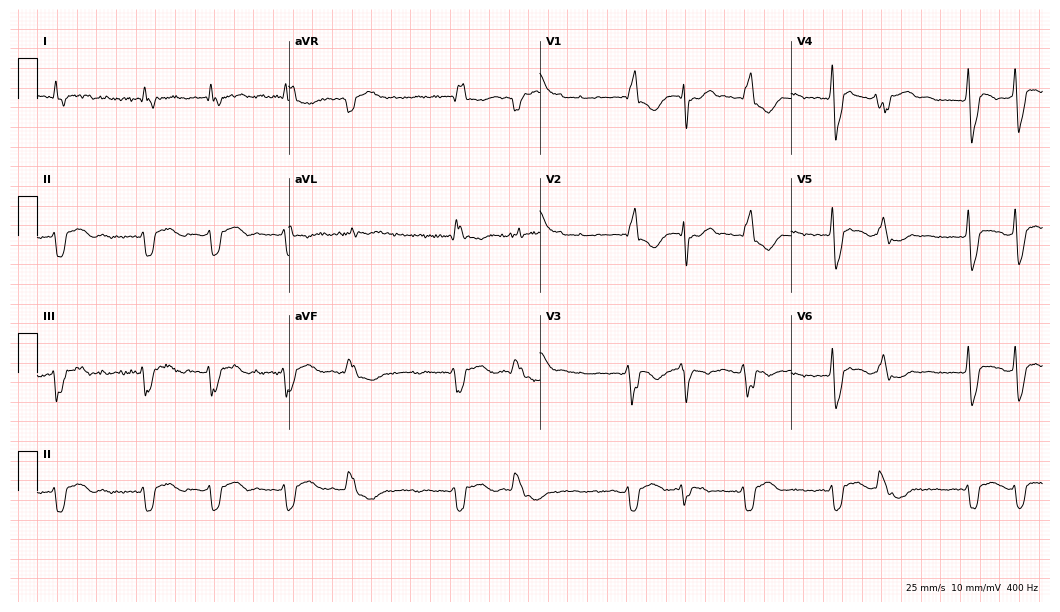
Electrocardiogram, a female patient, 62 years old. Interpretation includes right bundle branch block (RBBB), atrial fibrillation (AF).